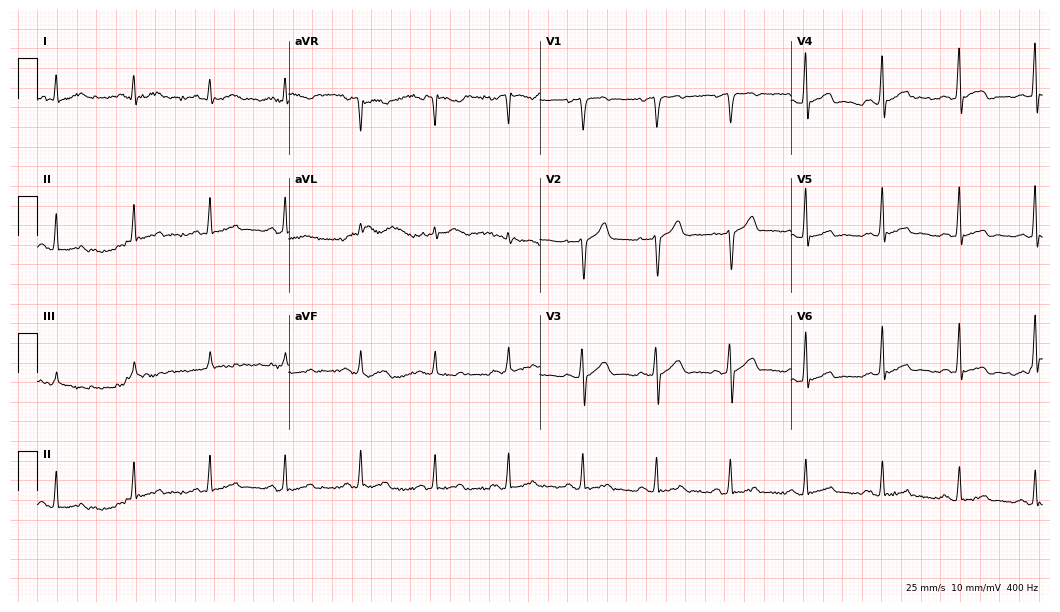
Resting 12-lead electrocardiogram (10.2-second recording at 400 Hz). Patient: a 45-year-old male. Read as a normal ECG.